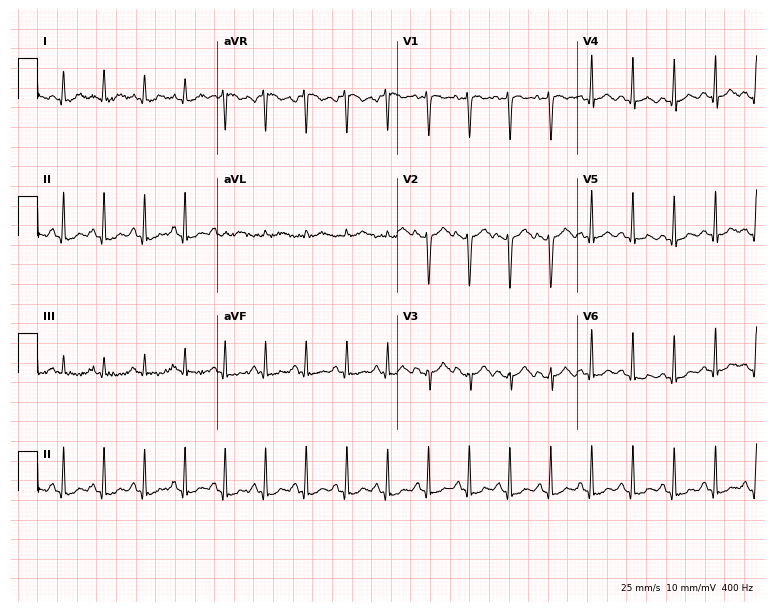
Electrocardiogram, a female patient, 28 years old. Interpretation includes sinus tachycardia (a sinus rate of 100 beats per minute or more).